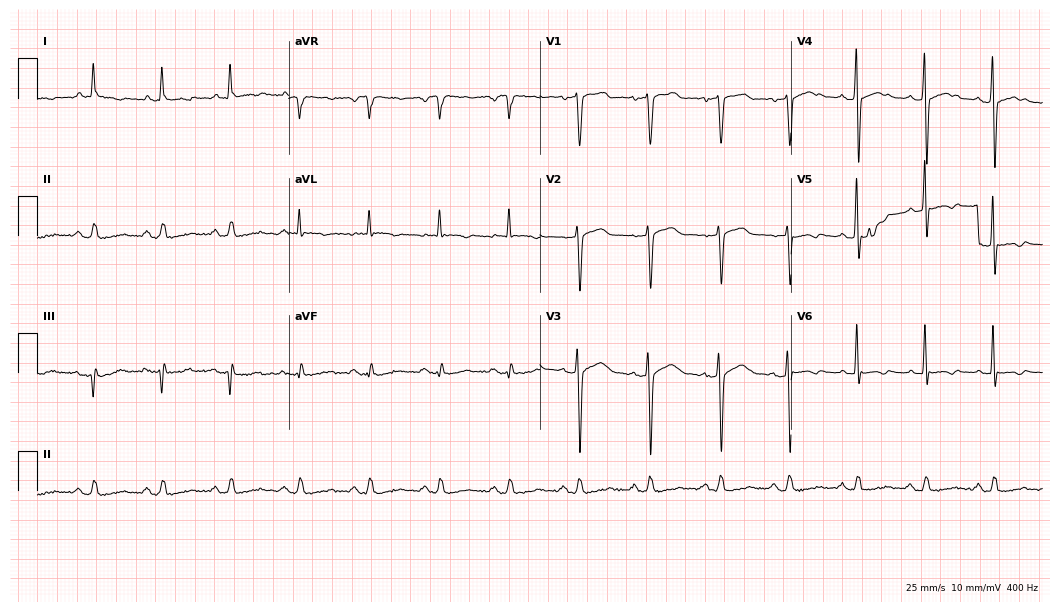
12-lead ECG from a male patient, 75 years old (10.2-second recording at 400 Hz). No first-degree AV block, right bundle branch block, left bundle branch block, sinus bradycardia, atrial fibrillation or sinus tachycardia recorded for this tracing. Only these six findings were labelled.